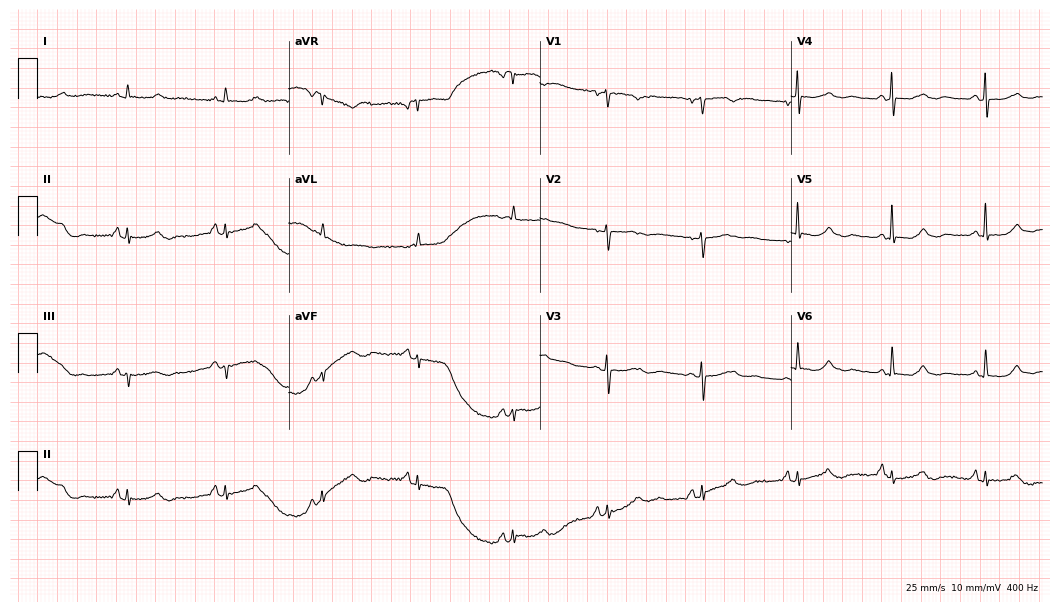
12-lead ECG from a female, 76 years old. No first-degree AV block, right bundle branch block (RBBB), left bundle branch block (LBBB), sinus bradycardia, atrial fibrillation (AF) or sinus tachycardia recorded for this tracing.